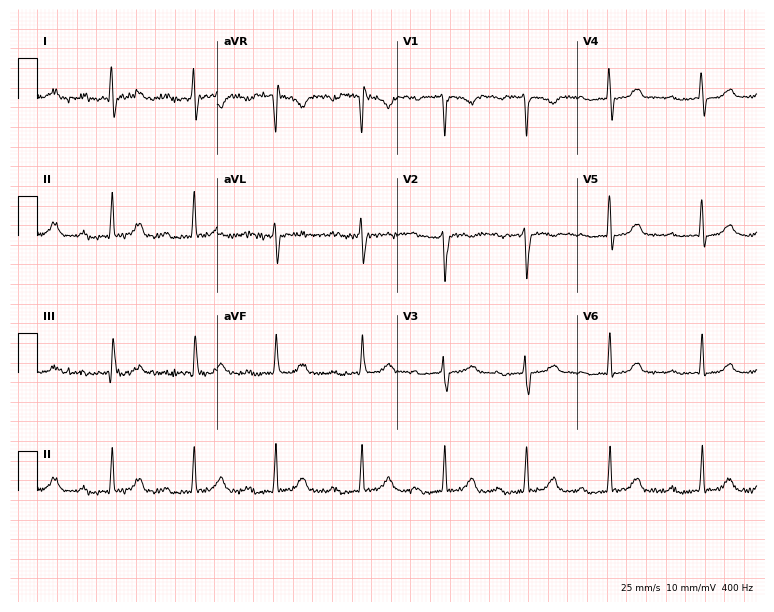
12-lead ECG (7.3-second recording at 400 Hz) from a 31-year-old woman. Findings include first-degree AV block.